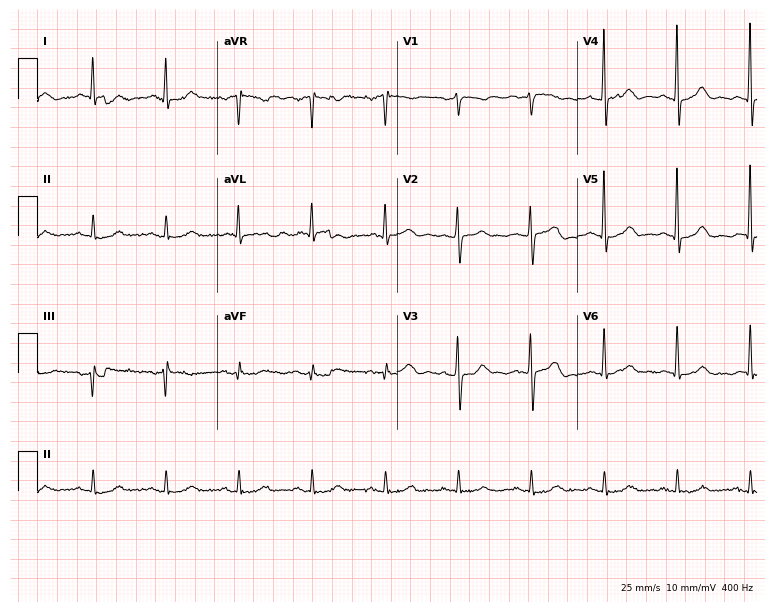
ECG (7.3-second recording at 400 Hz) — a male patient, 68 years old. Labelled as a normal ECG.